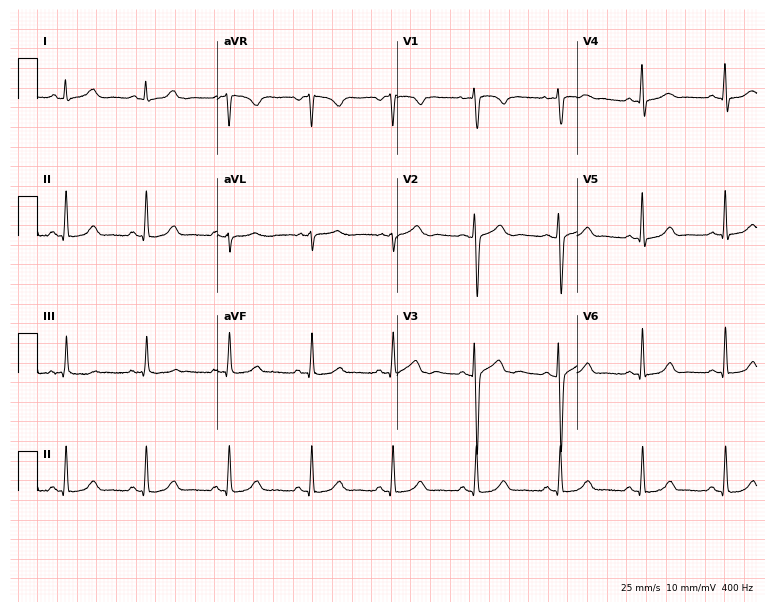
Standard 12-lead ECG recorded from a 28-year-old woman. Read as a normal ECG.